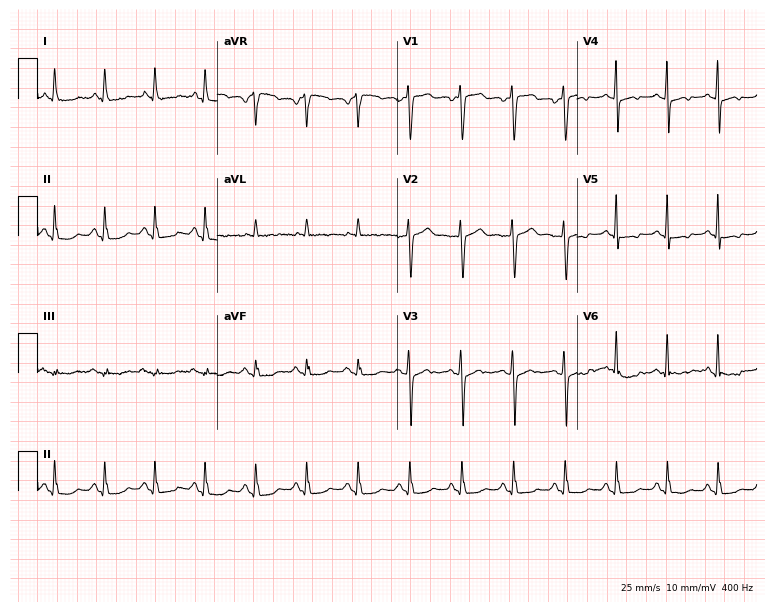
12-lead ECG from a 40-year-old woman. Findings include sinus tachycardia (a sinus rate of 100 beats per minute or more).